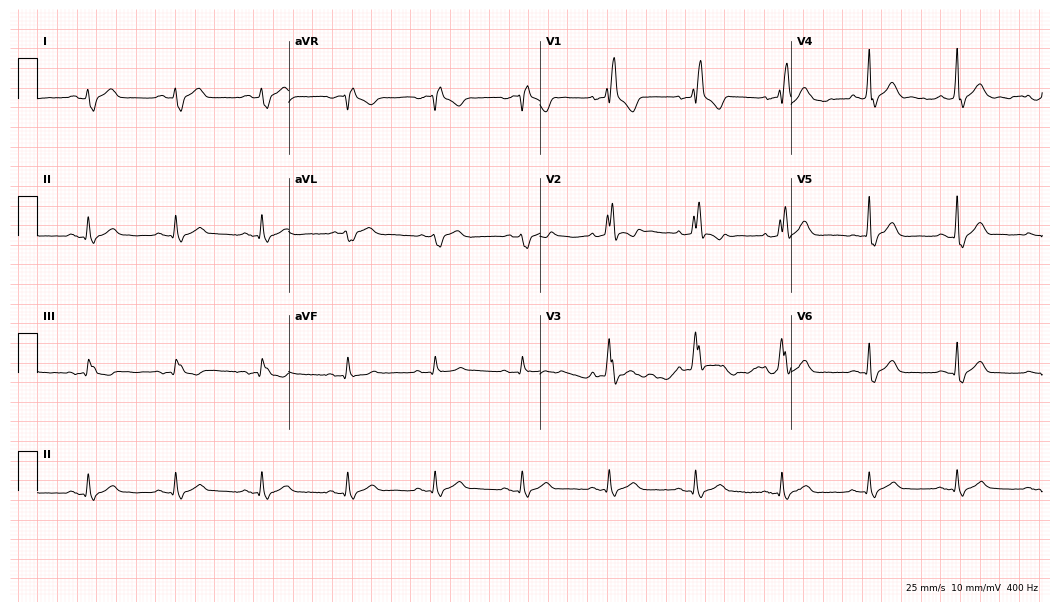
Electrocardiogram, a man, 66 years old. Interpretation includes right bundle branch block.